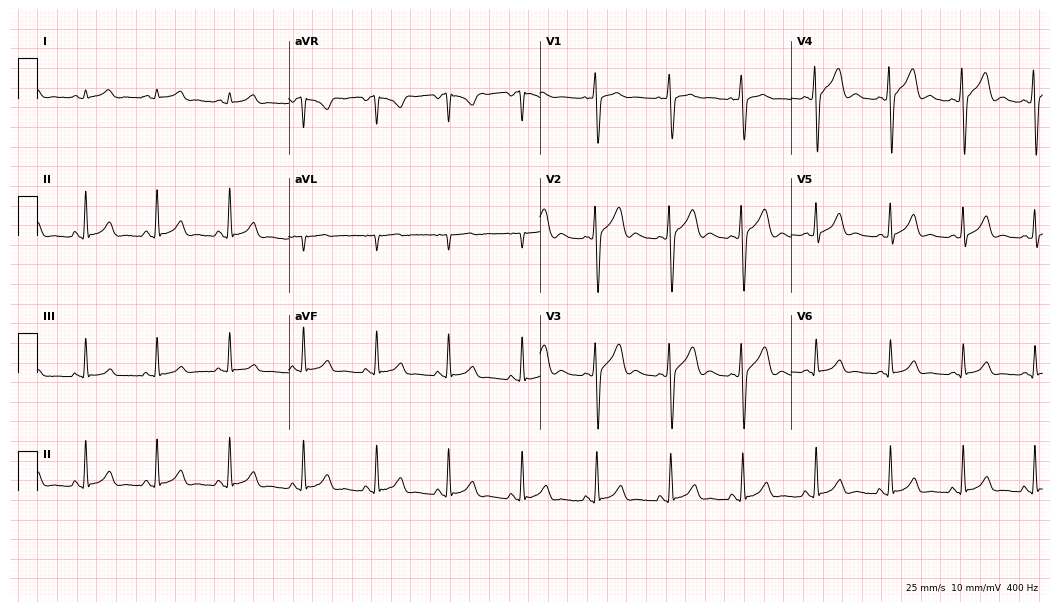
ECG — a male patient, 20 years old. Labelled as a normal ECG.